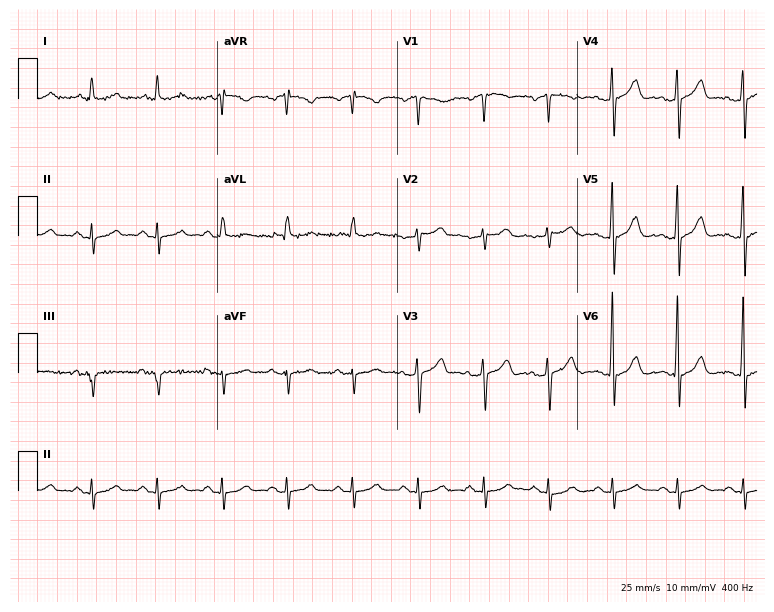
Resting 12-lead electrocardiogram (7.3-second recording at 400 Hz). Patient: a man, 57 years old. None of these six findings is recorded: first-degree AV block, right bundle branch block (RBBB), left bundle branch block (LBBB), sinus bradycardia, atrial fibrillation (AF), sinus tachycardia.